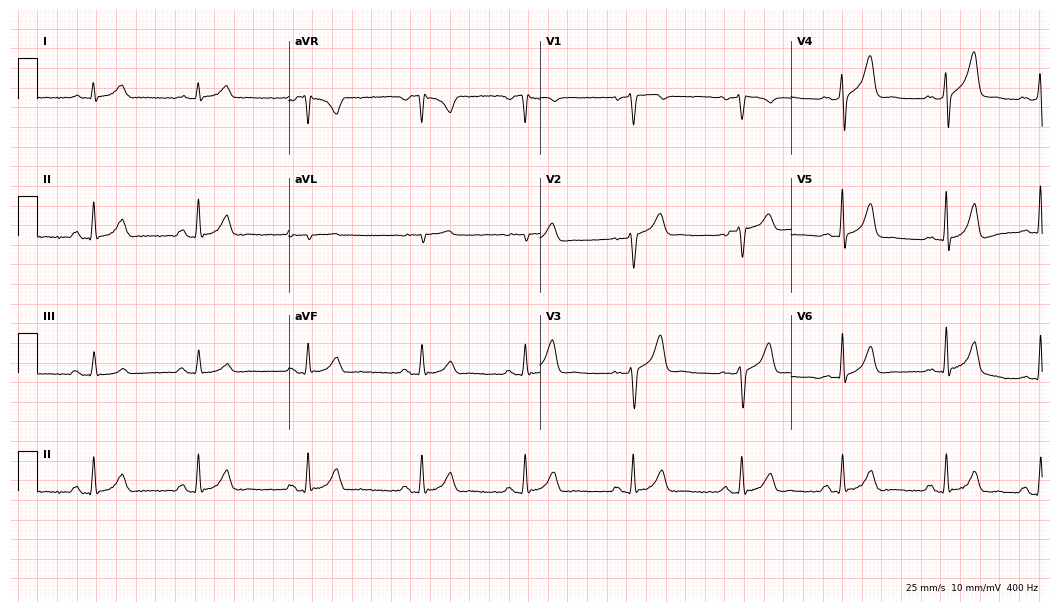
12-lead ECG from a male, 39 years old (10.2-second recording at 400 Hz). No first-degree AV block, right bundle branch block, left bundle branch block, sinus bradycardia, atrial fibrillation or sinus tachycardia recorded for this tracing. Findings outside these six are not listed.